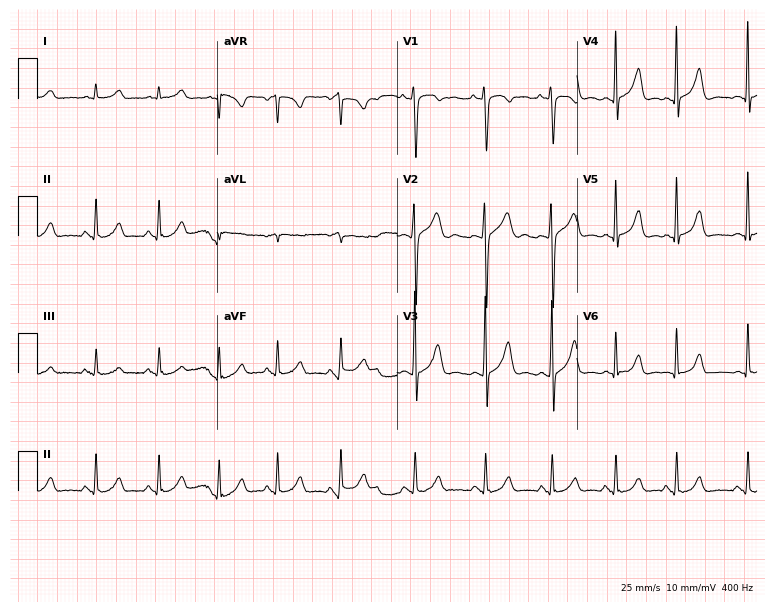
12-lead ECG from a woman, 24 years old. Labelled as a normal ECG.